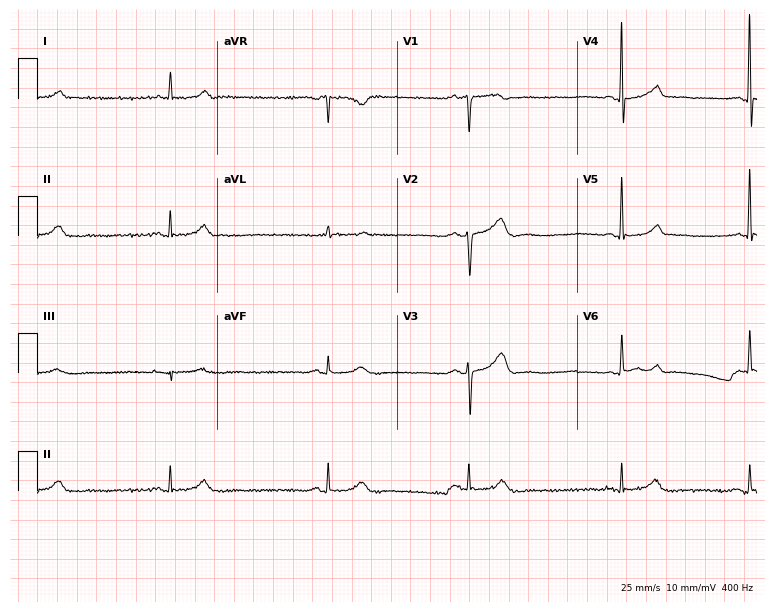
Resting 12-lead electrocardiogram. Patient: a female, 67 years old. The tracing shows sinus bradycardia (a sinus rate of 50 beats per minute or less).